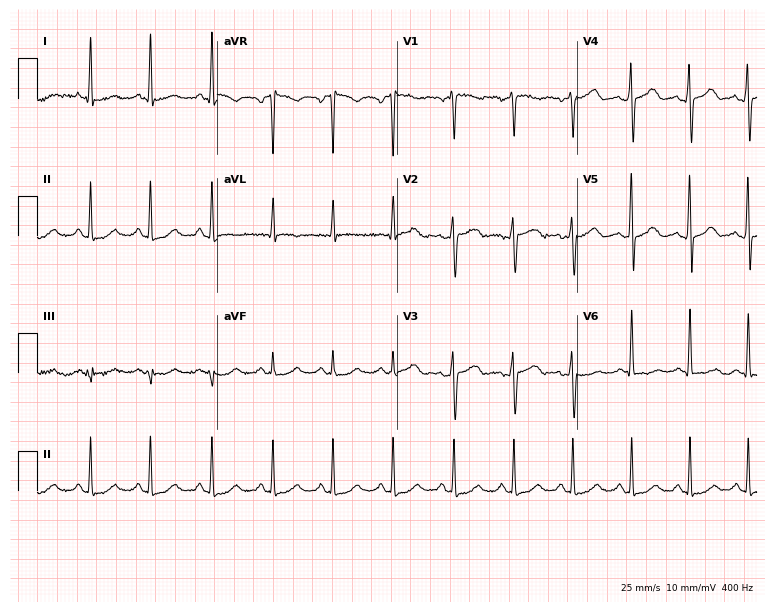
Electrocardiogram, a female, 49 years old. Overall reading on record: normal ECG.